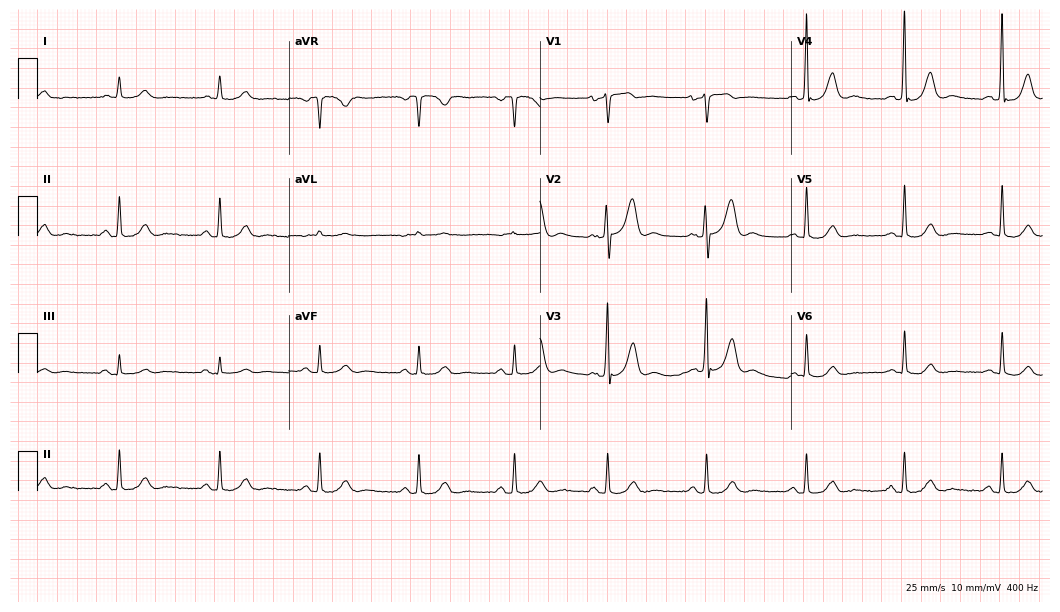
Electrocardiogram (10.2-second recording at 400 Hz), a 76-year-old male patient. Of the six screened findings (first-degree AV block, right bundle branch block, left bundle branch block, sinus bradycardia, atrial fibrillation, sinus tachycardia), none is recorded.